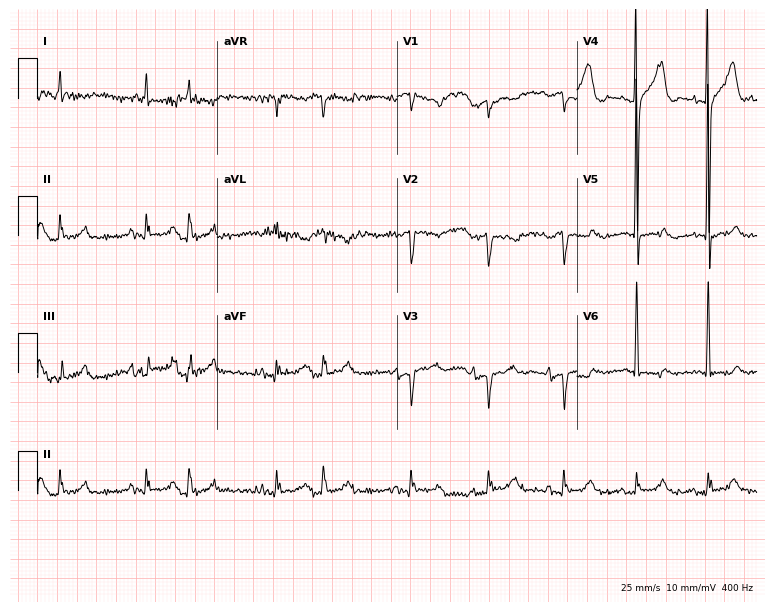
ECG (7.3-second recording at 400 Hz) — a 75-year-old female patient. Findings include atrial fibrillation (AF).